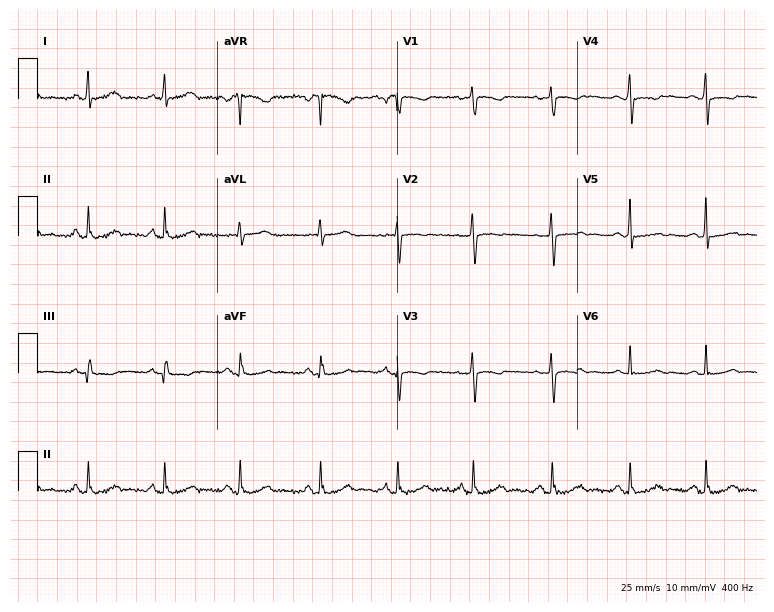
Electrocardiogram, a 39-year-old woman. Of the six screened findings (first-degree AV block, right bundle branch block, left bundle branch block, sinus bradycardia, atrial fibrillation, sinus tachycardia), none is recorded. Only these six findings were labelled.